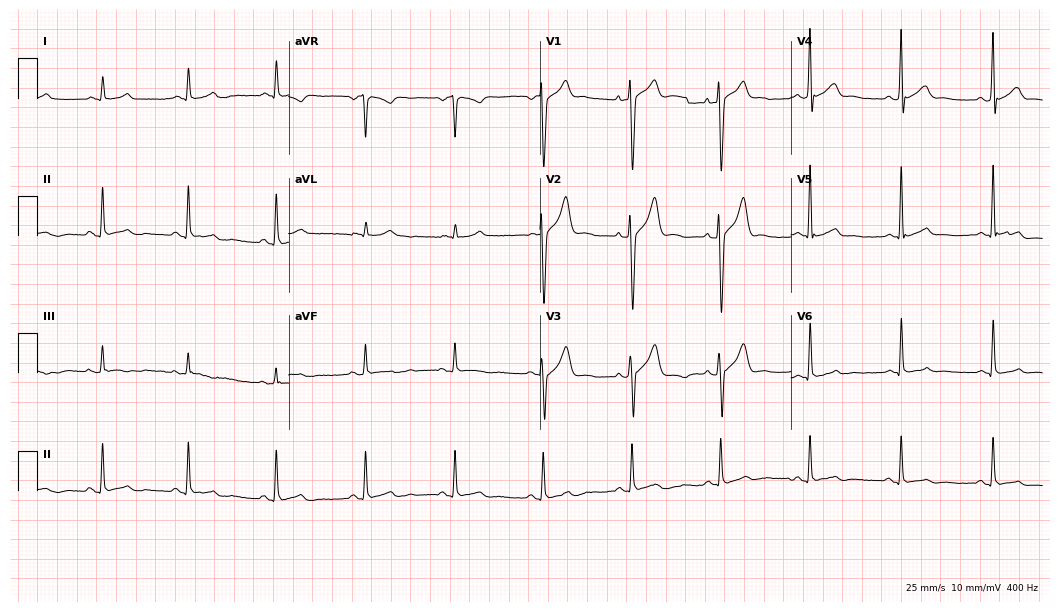
Electrocardiogram (10.2-second recording at 400 Hz), a 36-year-old male patient. Overall reading on record: normal ECG.